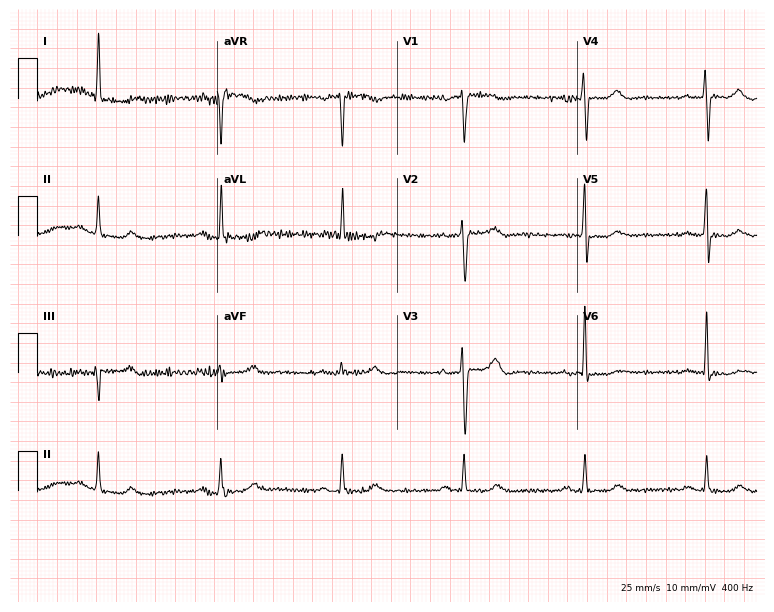
12-lead ECG from a female, 83 years old. No first-degree AV block, right bundle branch block, left bundle branch block, sinus bradycardia, atrial fibrillation or sinus tachycardia recorded for this tracing. Only these six findings were labelled.